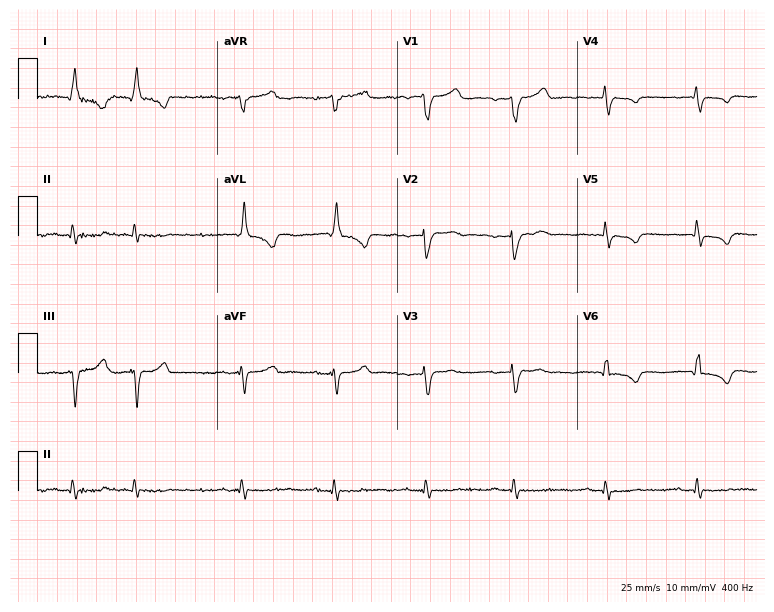
Electrocardiogram (7.3-second recording at 400 Hz), a man, 85 years old. Interpretation includes first-degree AV block, left bundle branch block.